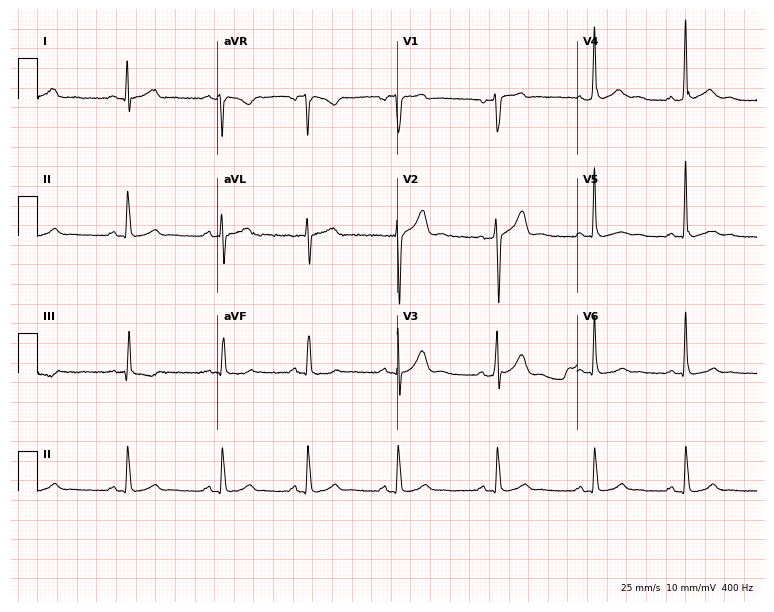
Standard 12-lead ECG recorded from a 26-year-old male patient. Read as a normal ECG.